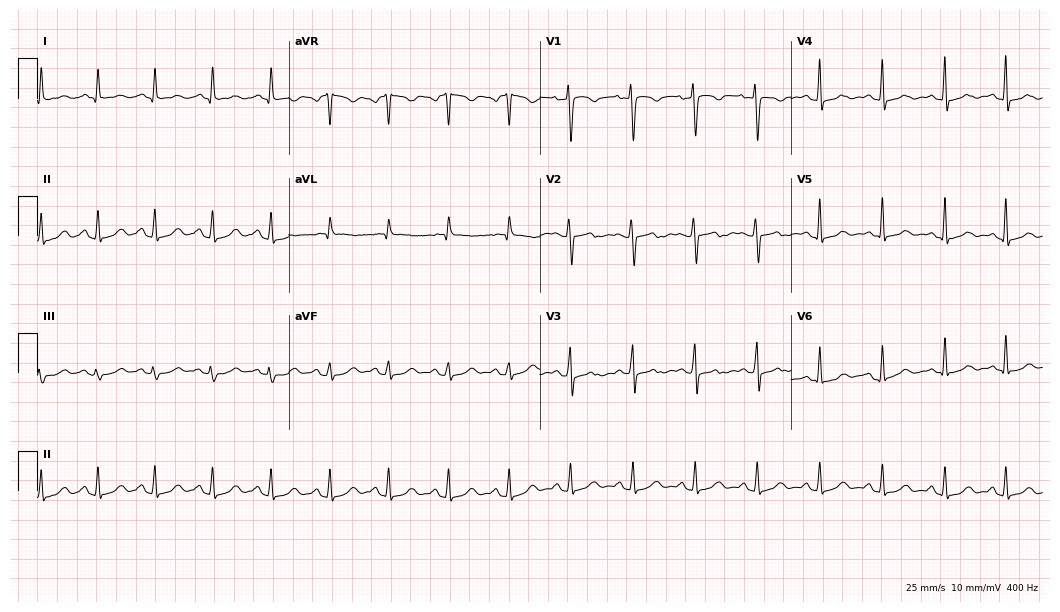
Electrocardiogram, a female, 52 years old. Overall reading on record: normal ECG.